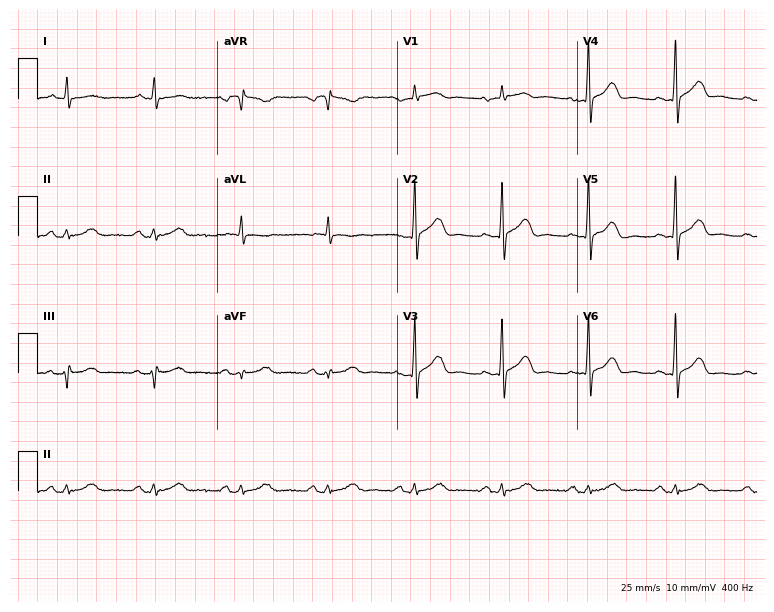
12-lead ECG from a 67-year-old woman. Recorded interpretation: within normal limits.